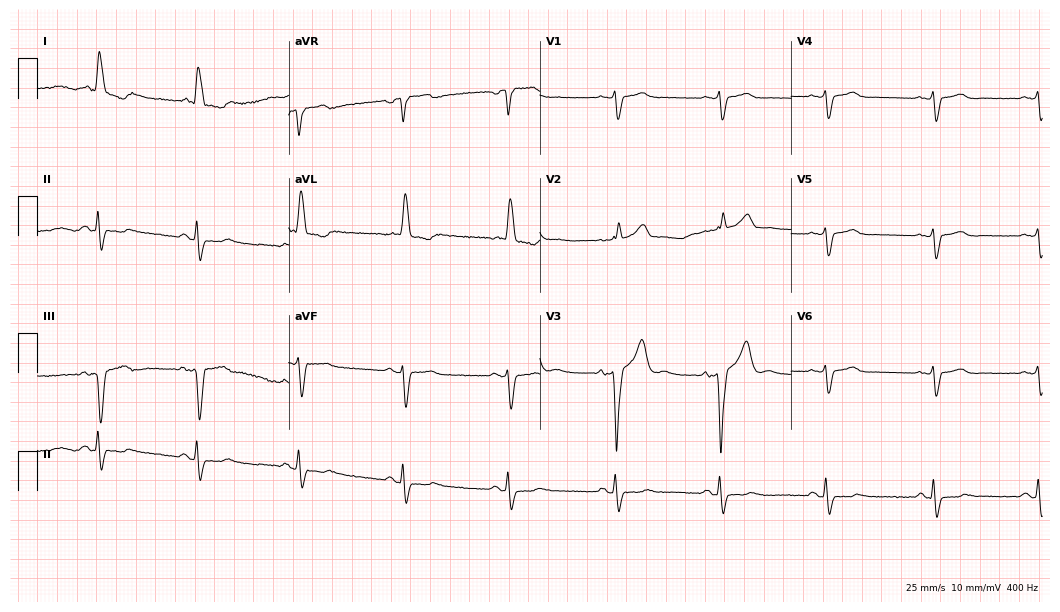
12-lead ECG from a 66-year-old male (10.2-second recording at 400 Hz). No first-degree AV block, right bundle branch block (RBBB), left bundle branch block (LBBB), sinus bradycardia, atrial fibrillation (AF) or sinus tachycardia recorded for this tracing. Only these six findings were labelled.